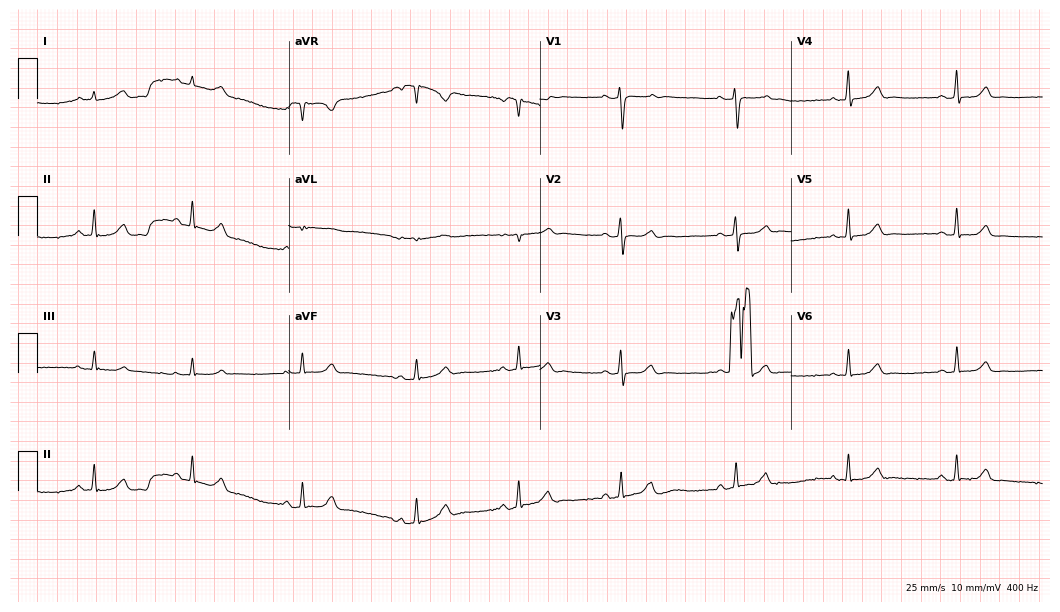
Standard 12-lead ECG recorded from a female, 39 years old. Read as a normal ECG.